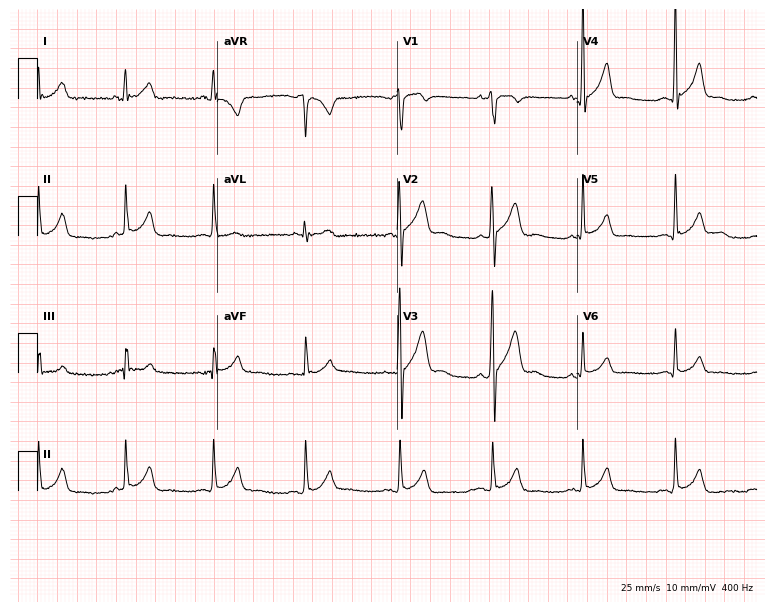
ECG — a male, 24 years old. Labelled as a normal ECG.